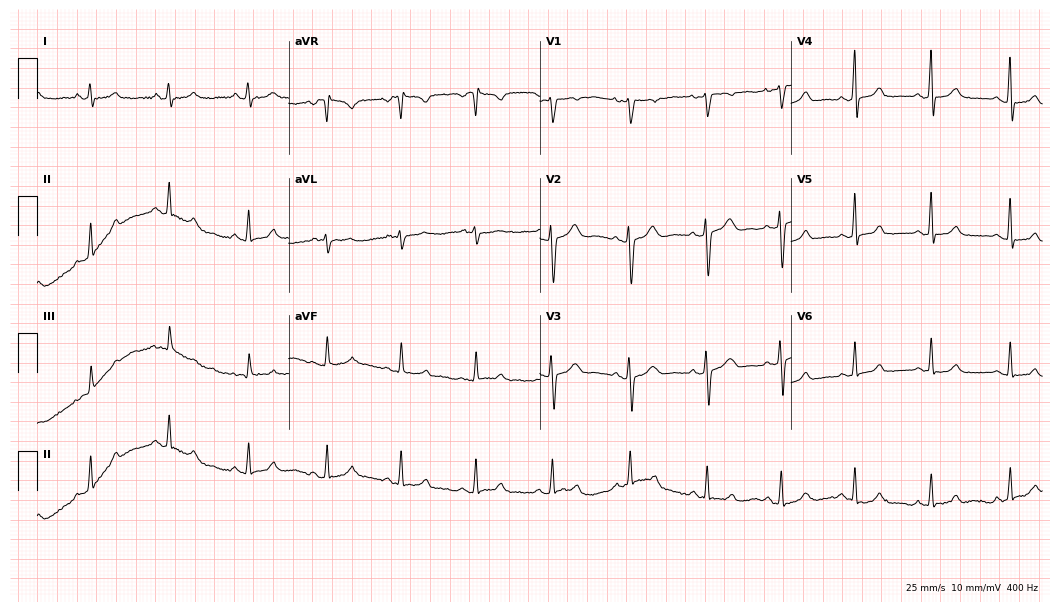
12-lead ECG from a woman, 30 years old. Recorded interpretation: within normal limits.